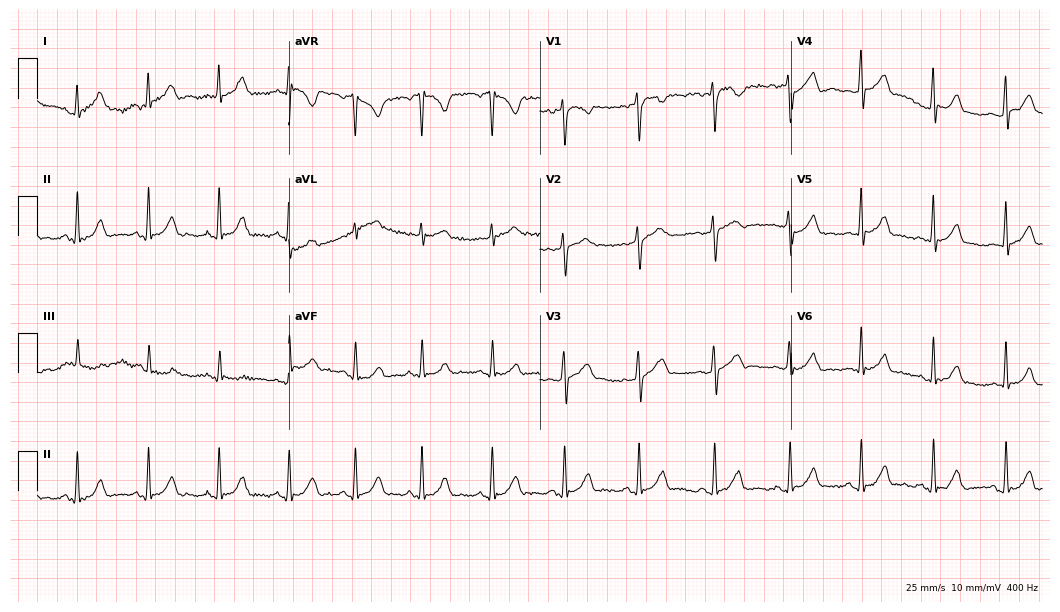
12-lead ECG from a woman, 21 years old. Labelled as a normal ECG.